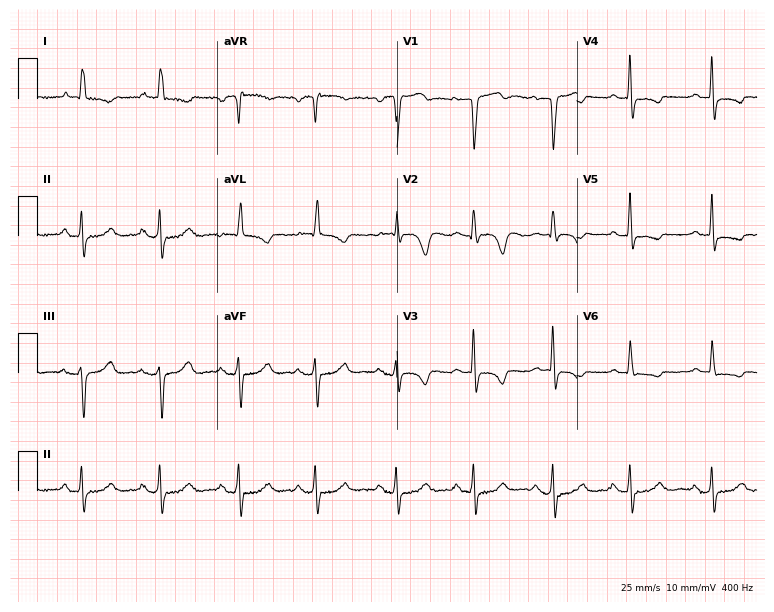
12-lead ECG from a 77-year-old male (7.3-second recording at 400 Hz). No first-degree AV block, right bundle branch block, left bundle branch block, sinus bradycardia, atrial fibrillation or sinus tachycardia recorded for this tracing. Other findings, if any, are not listed.